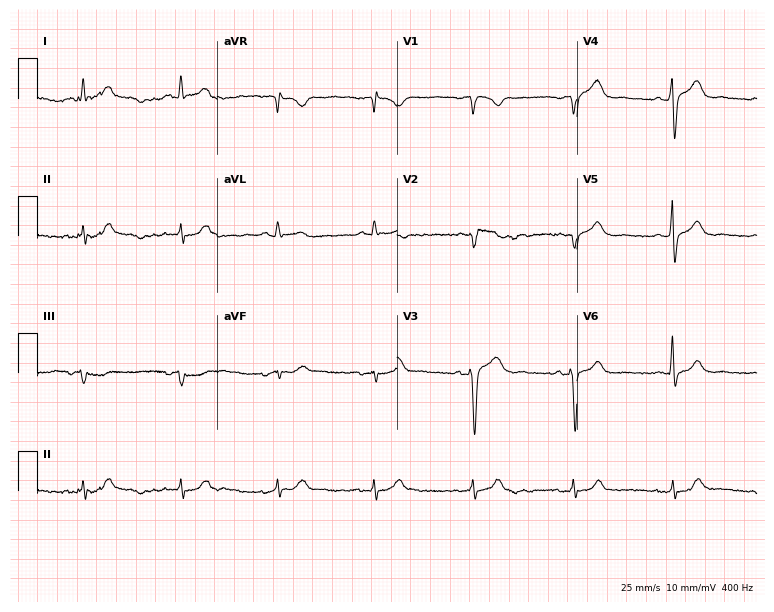
ECG — a male, 70 years old. Labelled as a normal ECG.